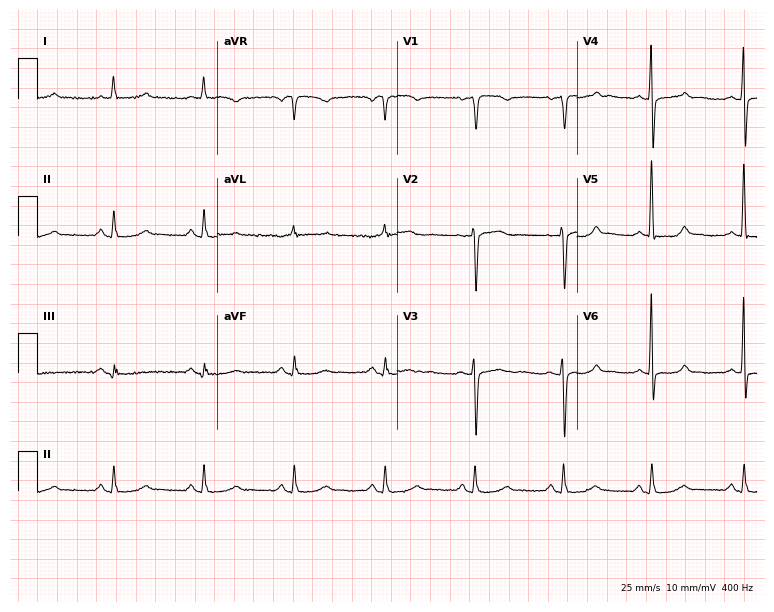
ECG (7.3-second recording at 400 Hz) — a female patient, 69 years old. Labelled as a normal ECG.